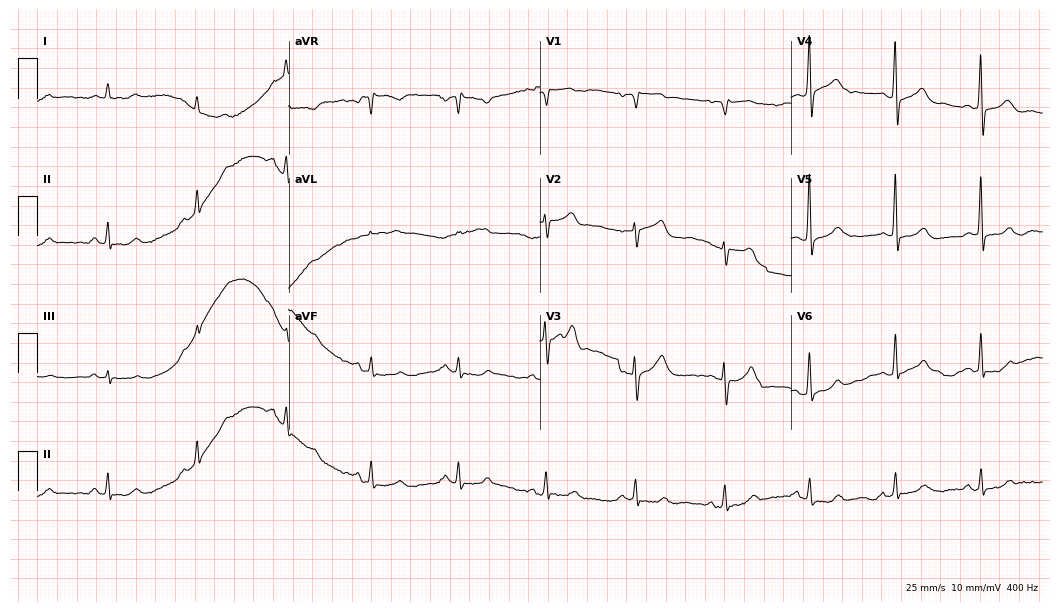
12-lead ECG from a woman, 70 years old (10.2-second recording at 400 Hz). Recorded interpretation: within normal limits.